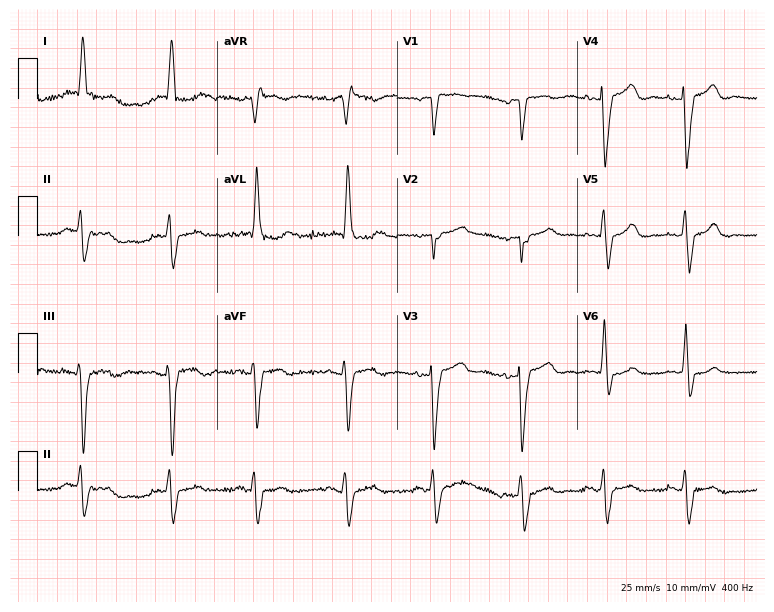
Resting 12-lead electrocardiogram. Patient: an 82-year-old woman. The tracing shows left bundle branch block.